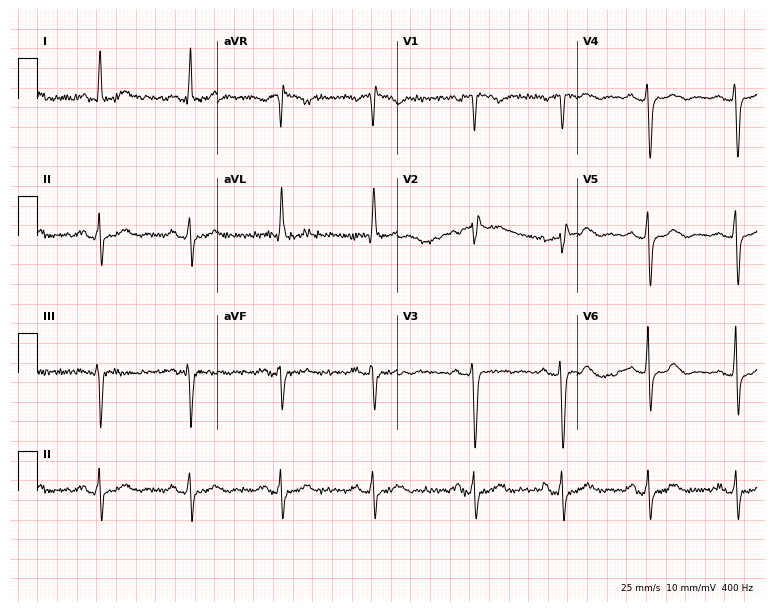
12-lead ECG from a 70-year-old woman. No first-degree AV block, right bundle branch block, left bundle branch block, sinus bradycardia, atrial fibrillation or sinus tachycardia recorded for this tracing.